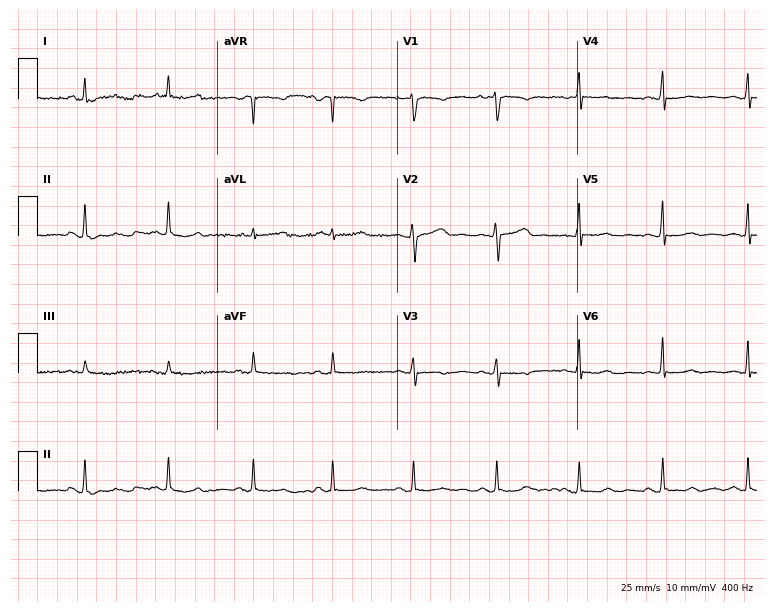
12-lead ECG from a 49-year-old female (7.3-second recording at 400 Hz). No first-degree AV block, right bundle branch block, left bundle branch block, sinus bradycardia, atrial fibrillation or sinus tachycardia recorded for this tracing.